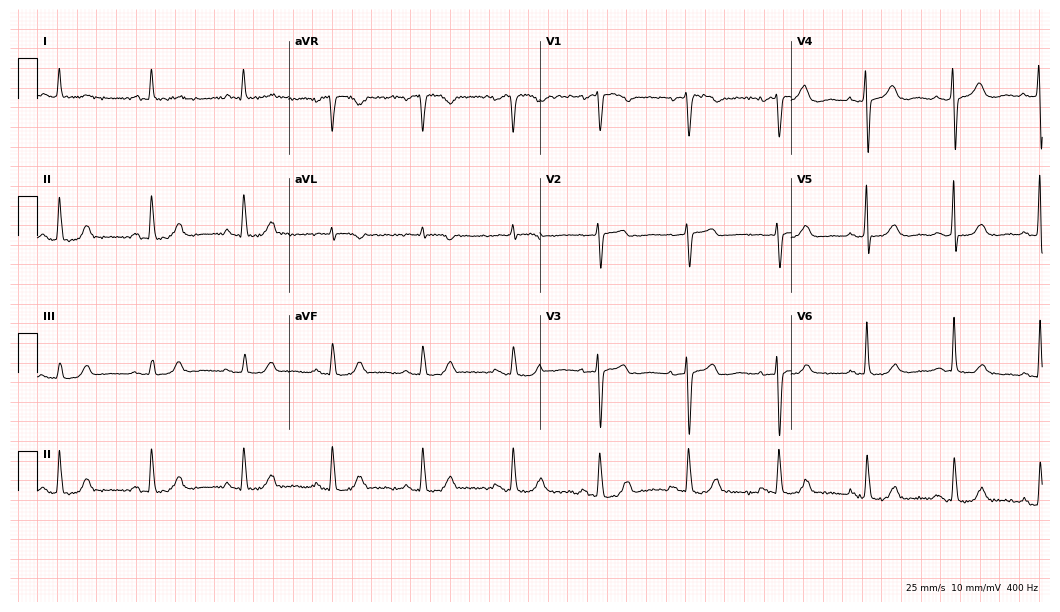
Standard 12-lead ECG recorded from a 49-year-old female patient (10.2-second recording at 400 Hz). None of these six findings is recorded: first-degree AV block, right bundle branch block, left bundle branch block, sinus bradycardia, atrial fibrillation, sinus tachycardia.